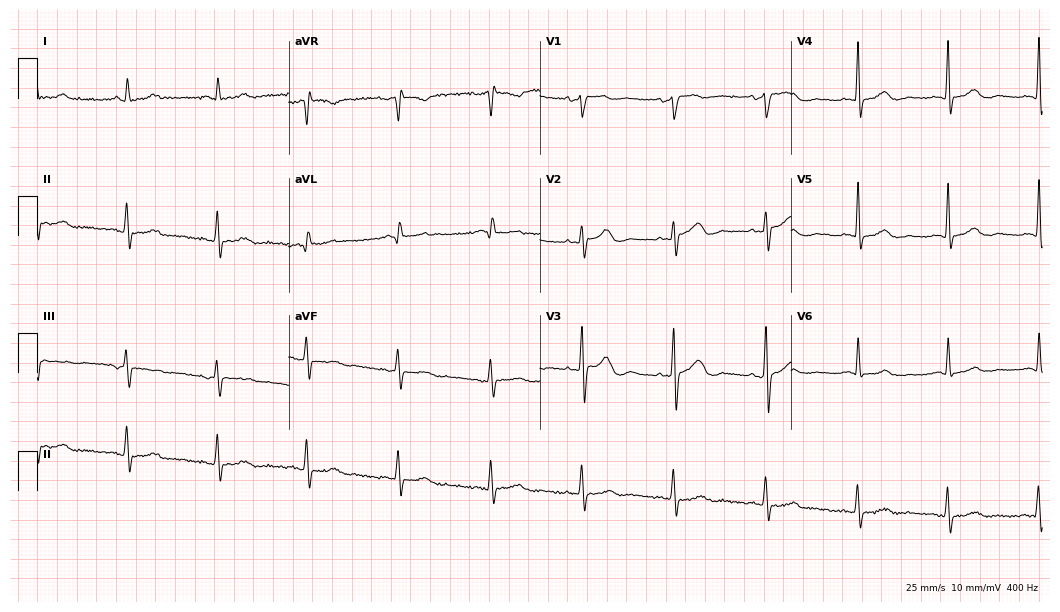
ECG — a man, 76 years old. Screened for six findings — first-degree AV block, right bundle branch block, left bundle branch block, sinus bradycardia, atrial fibrillation, sinus tachycardia — none is recorded.